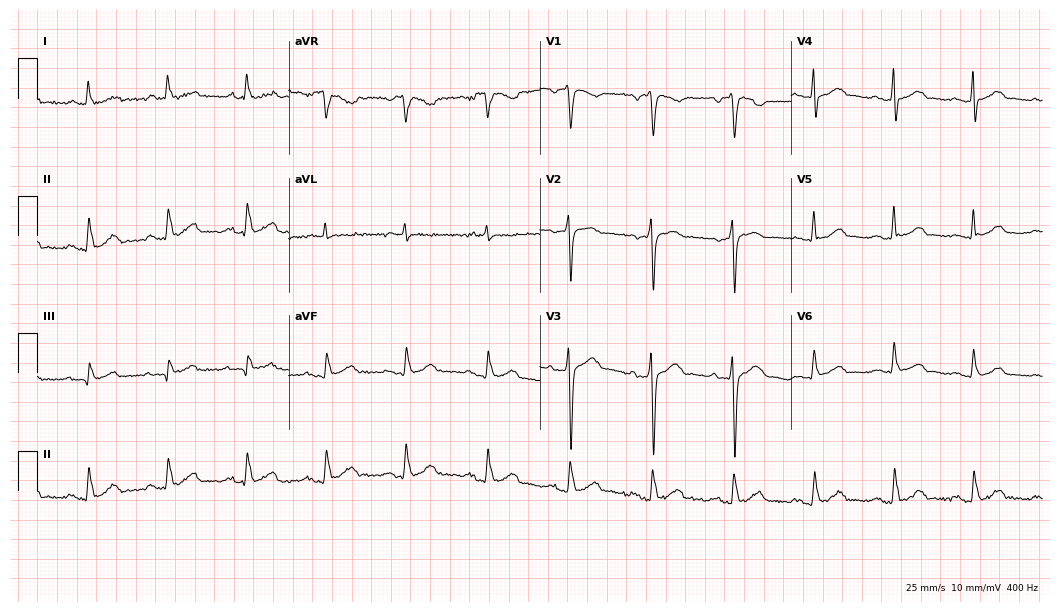
12-lead ECG (10.2-second recording at 400 Hz) from a 51-year-old man. Screened for six findings — first-degree AV block, right bundle branch block, left bundle branch block, sinus bradycardia, atrial fibrillation, sinus tachycardia — none is recorded.